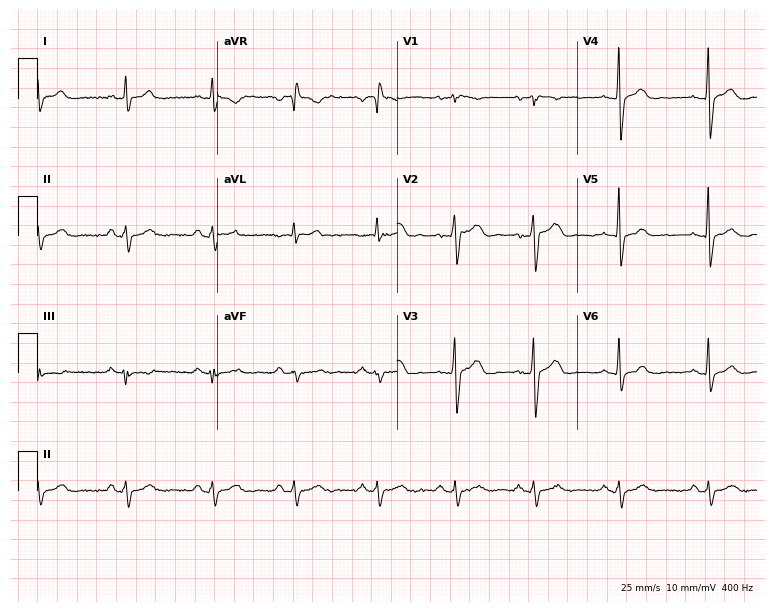
12-lead ECG from a male, 50 years old (7.3-second recording at 400 Hz). Recorded interpretation: within normal limits.